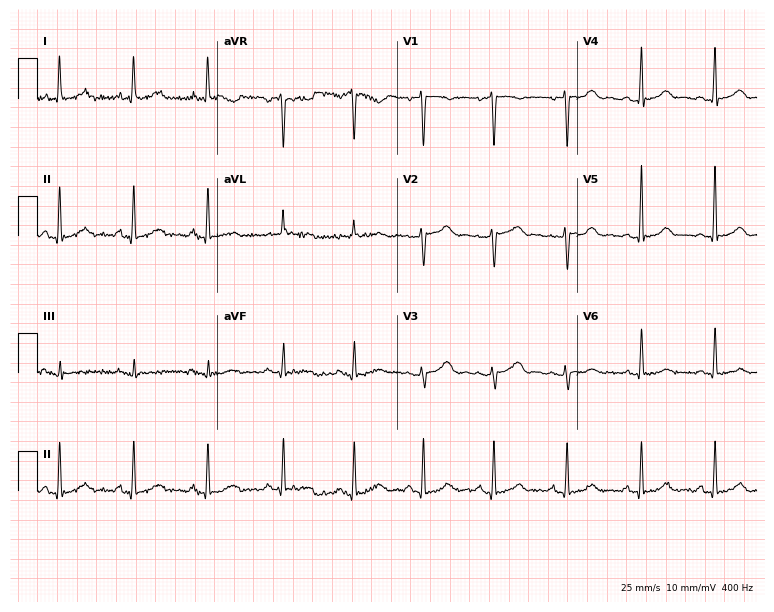
ECG (7.3-second recording at 400 Hz) — a female, 49 years old. Labelled as a normal ECG.